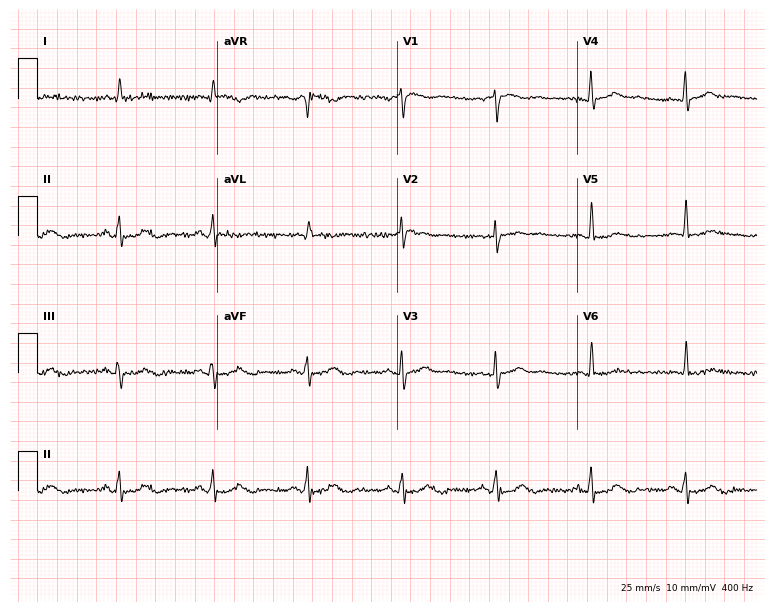
ECG — a man, 76 years old. Screened for six findings — first-degree AV block, right bundle branch block (RBBB), left bundle branch block (LBBB), sinus bradycardia, atrial fibrillation (AF), sinus tachycardia — none is recorded.